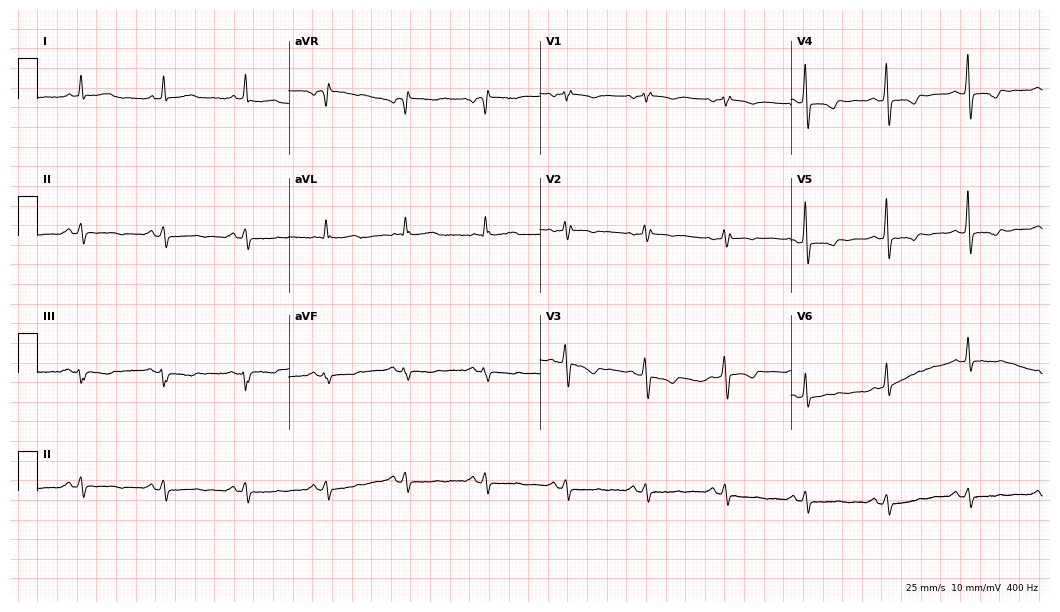
Standard 12-lead ECG recorded from a 66-year-old female. None of these six findings is recorded: first-degree AV block, right bundle branch block, left bundle branch block, sinus bradycardia, atrial fibrillation, sinus tachycardia.